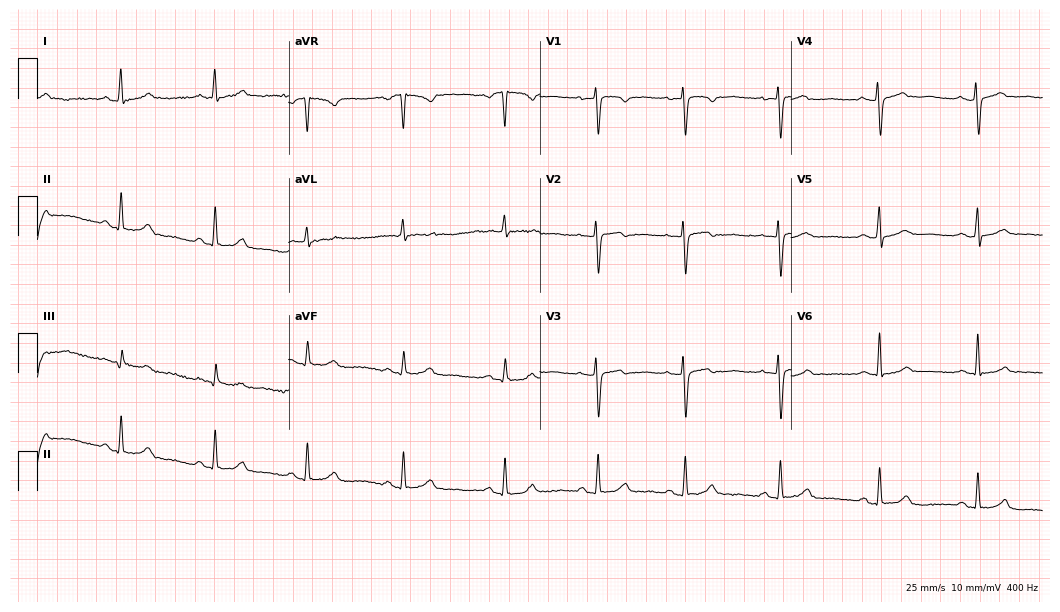
Standard 12-lead ECG recorded from a 41-year-old woman (10.2-second recording at 400 Hz). None of these six findings is recorded: first-degree AV block, right bundle branch block (RBBB), left bundle branch block (LBBB), sinus bradycardia, atrial fibrillation (AF), sinus tachycardia.